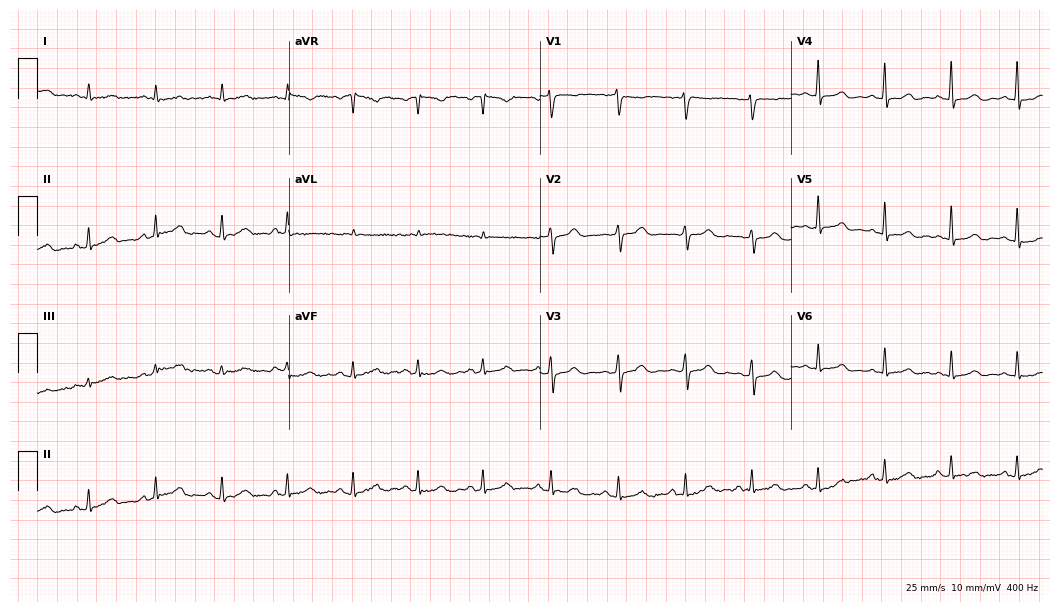
ECG — a woman, 49 years old. Labelled as a normal ECG.